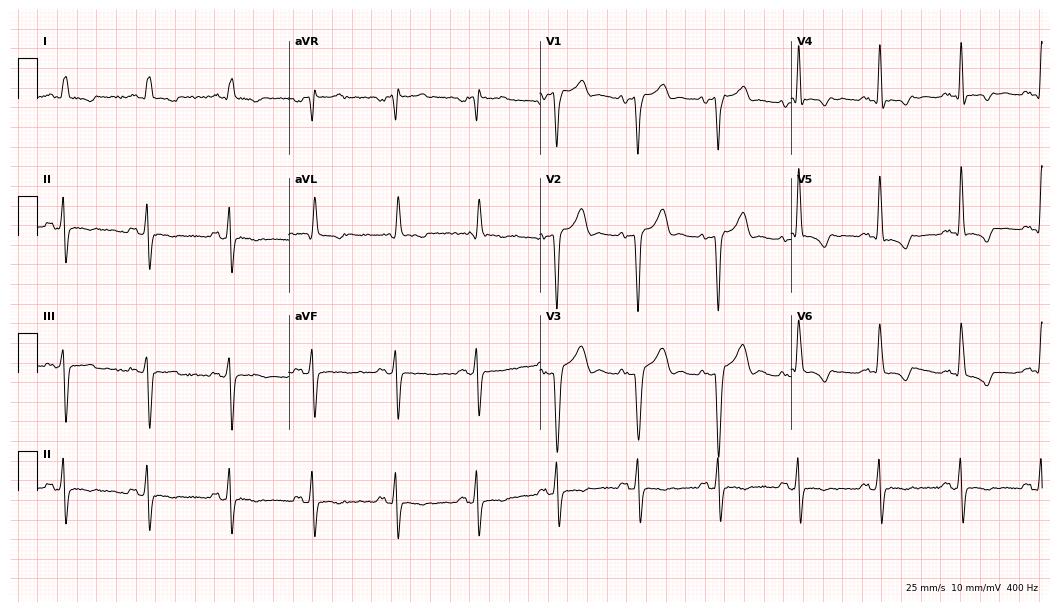
12-lead ECG from a male patient, 57 years old. Screened for six findings — first-degree AV block, right bundle branch block, left bundle branch block, sinus bradycardia, atrial fibrillation, sinus tachycardia — none is recorded.